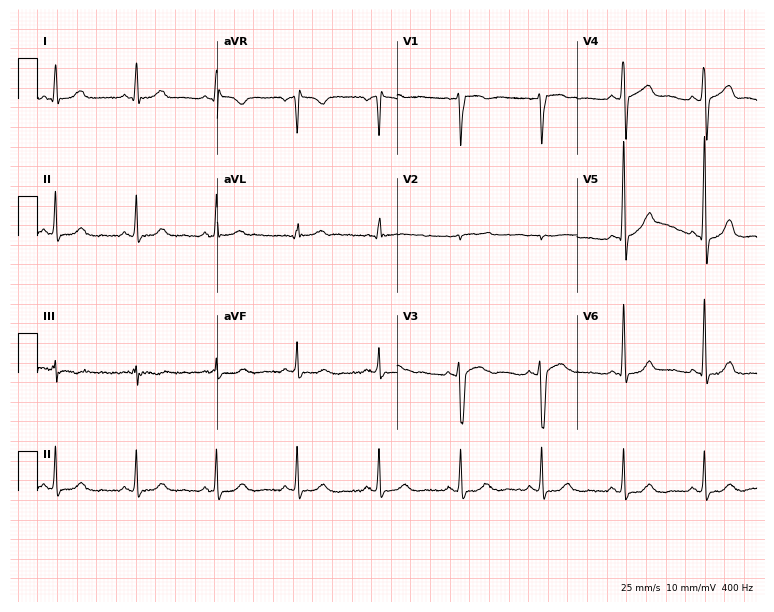
Resting 12-lead electrocardiogram. Patient: a female, 56 years old. Read as a normal ECG.